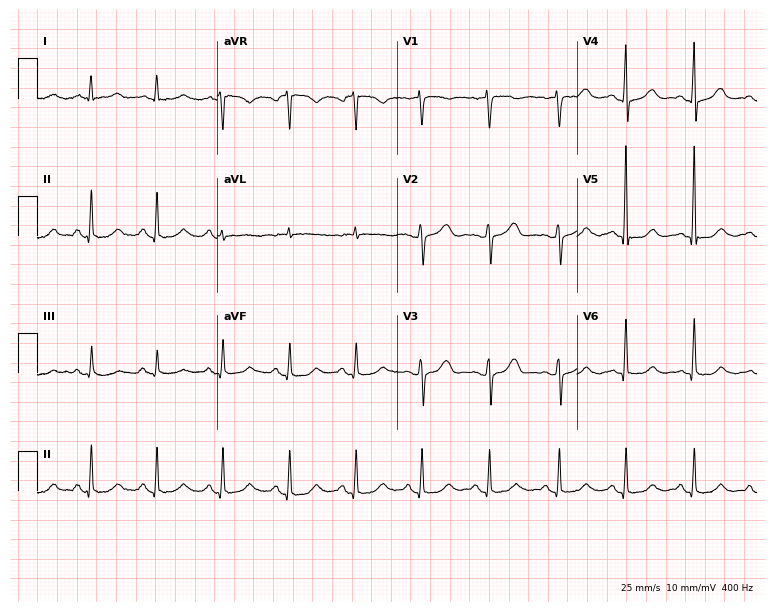
Resting 12-lead electrocardiogram (7.3-second recording at 400 Hz). Patient: a 62-year-old woman. Read as a normal ECG.